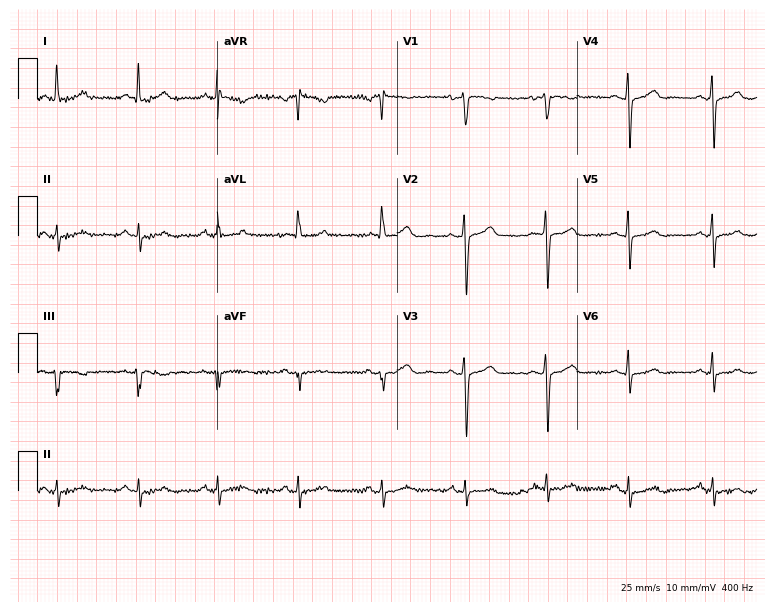
Resting 12-lead electrocardiogram. Patient: a female, 39 years old. Read as a normal ECG.